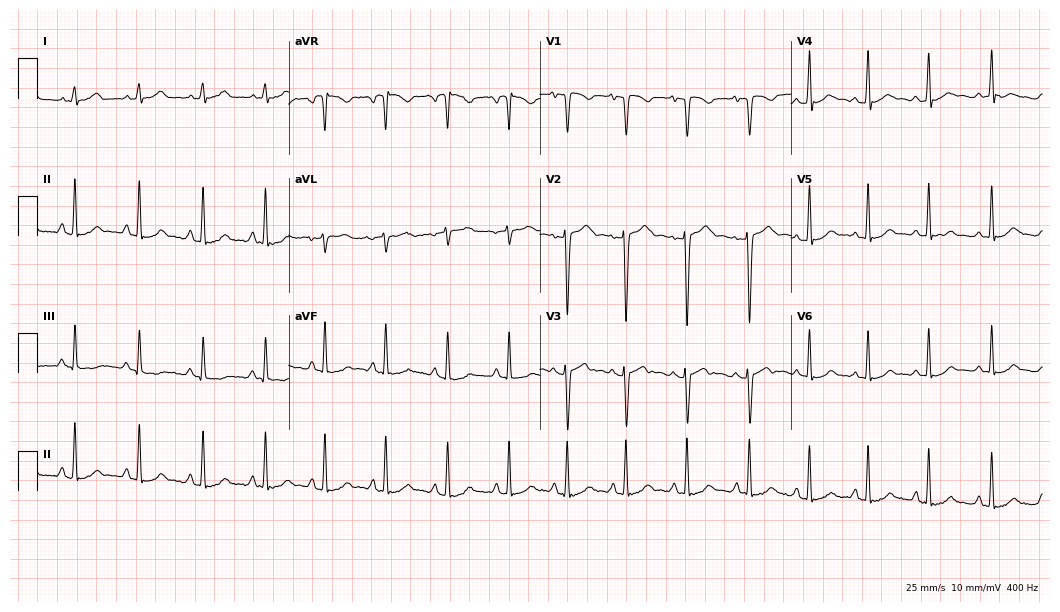
12-lead ECG from a female patient, 19 years old (10.2-second recording at 400 Hz). No first-degree AV block, right bundle branch block, left bundle branch block, sinus bradycardia, atrial fibrillation or sinus tachycardia recorded for this tracing.